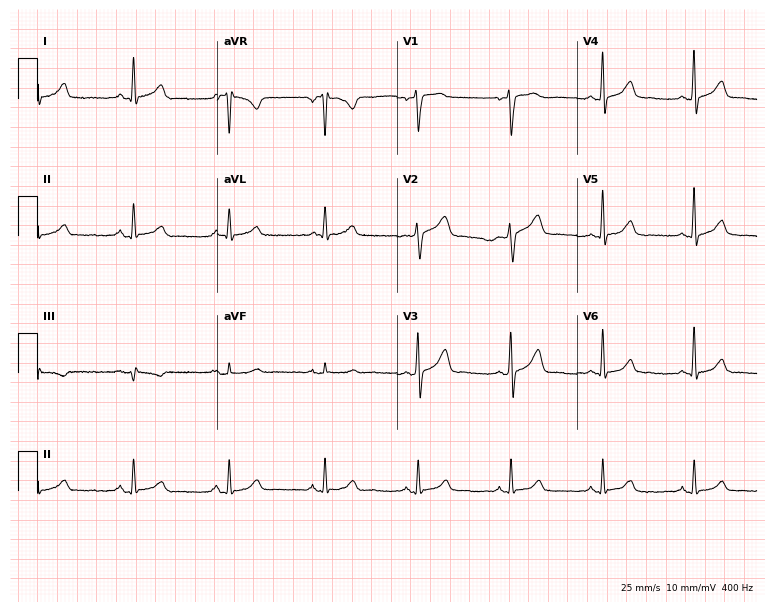
Electrocardiogram, a 57-year-old female patient. Overall reading on record: normal ECG.